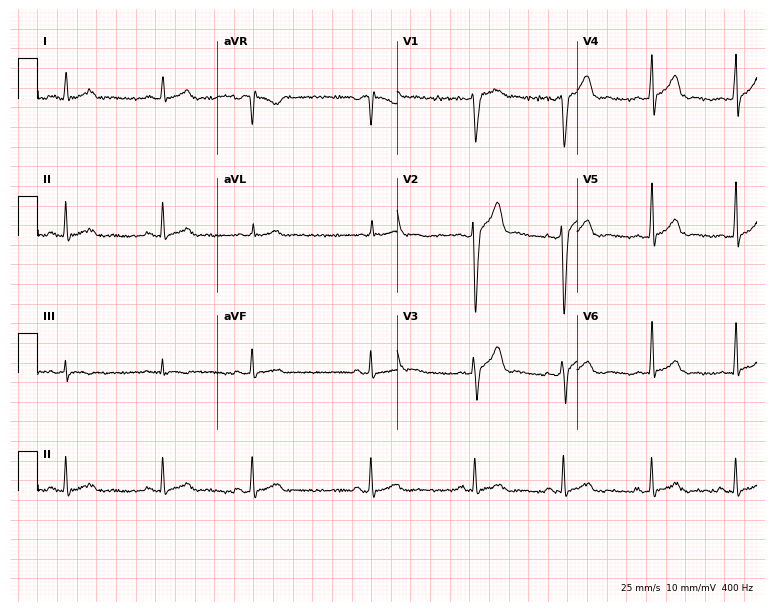
Electrocardiogram, a male patient, 25 years old. Overall reading on record: normal ECG.